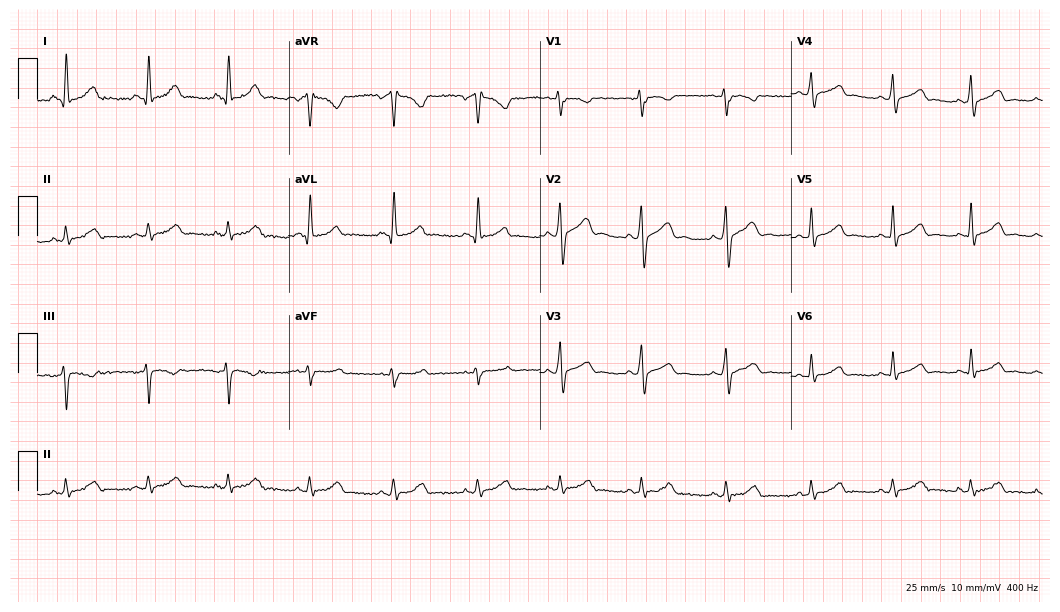
Resting 12-lead electrocardiogram. Patient: a woman, 31 years old. Read as a normal ECG.